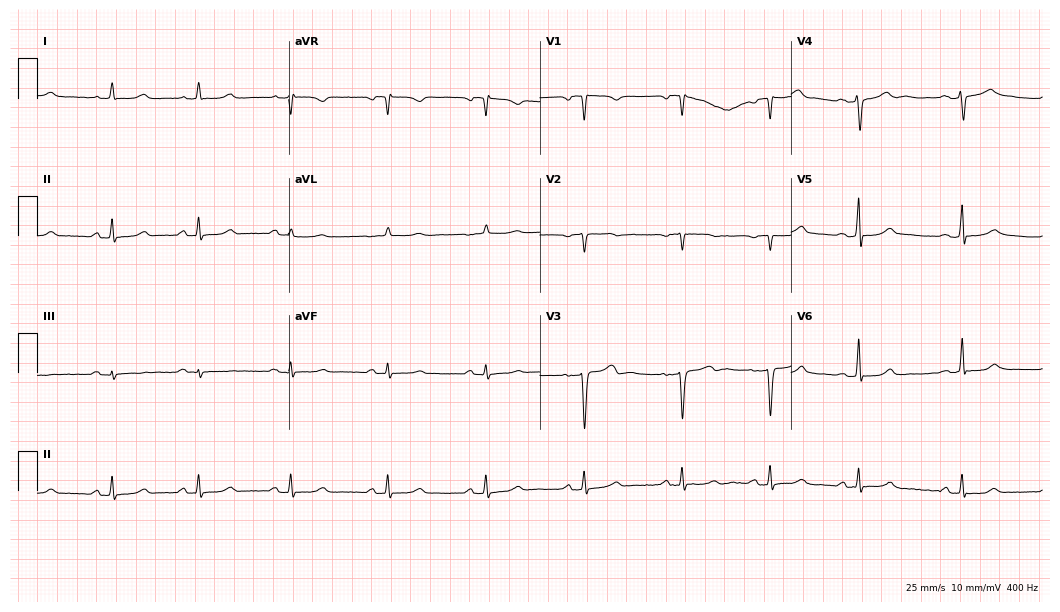
Resting 12-lead electrocardiogram. Patient: a 38-year-old woman. Read as a normal ECG.